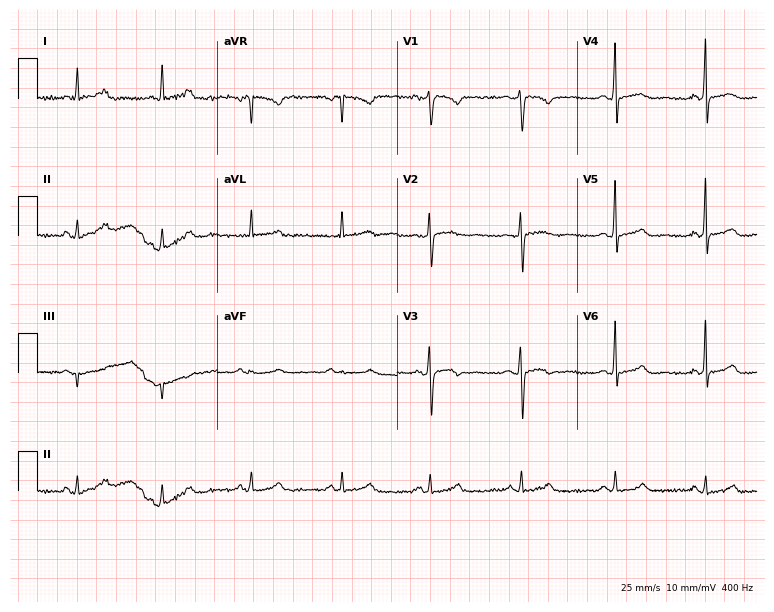
ECG — a 39-year-old female. Labelled as a normal ECG.